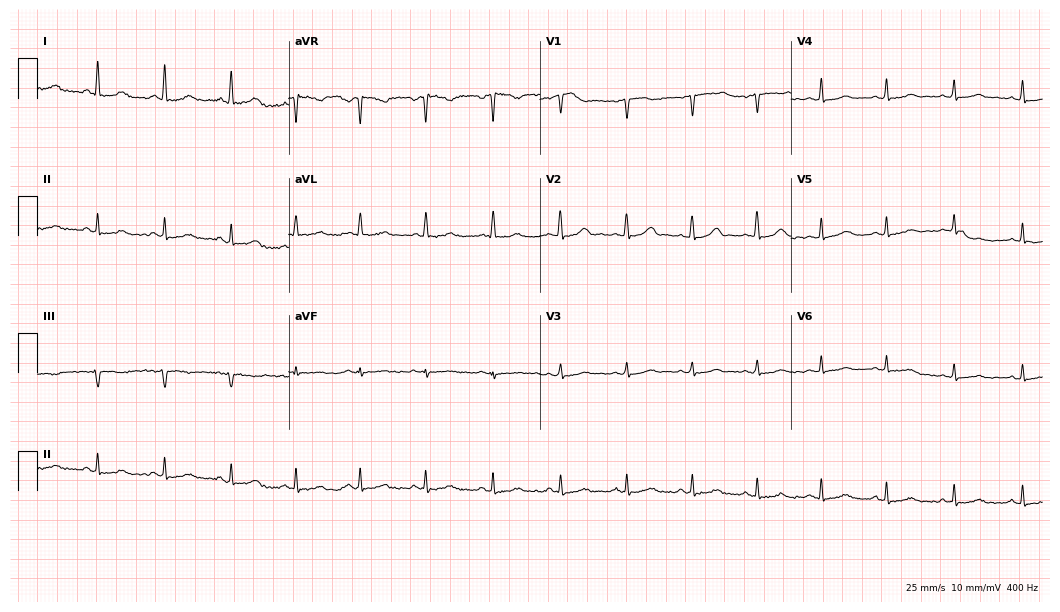
Resting 12-lead electrocardiogram (10.2-second recording at 400 Hz). Patient: a female, 55 years old. Read as a normal ECG.